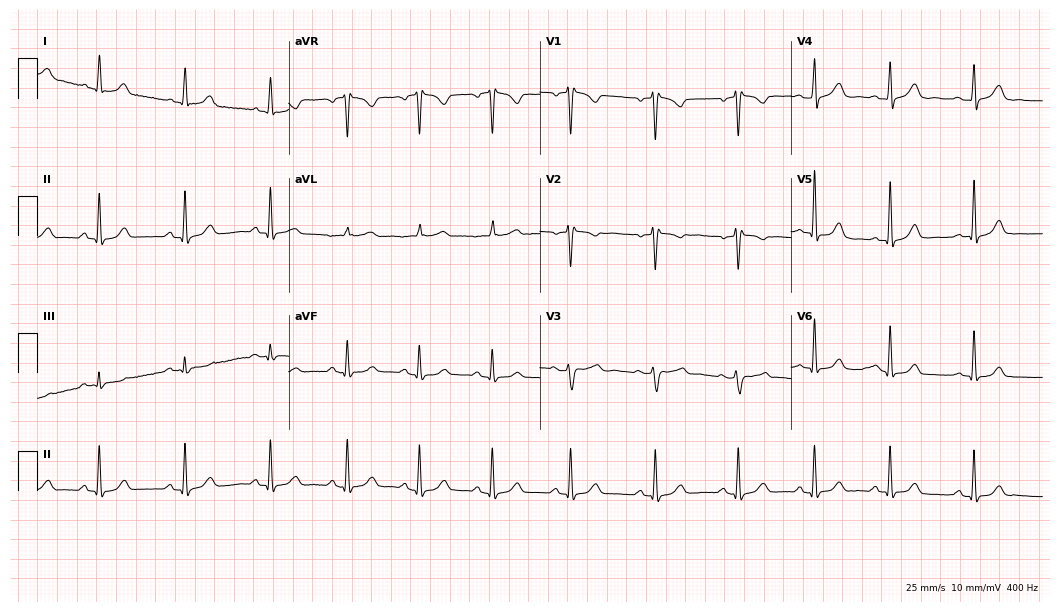
Standard 12-lead ECG recorded from a female, 43 years old (10.2-second recording at 400 Hz). None of these six findings is recorded: first-degree AV block, right bundle branch block, left bundle branch block, sinus bradycardia, atrial fibrillation, sinus tachycardia. Findings outside these six are not listed.